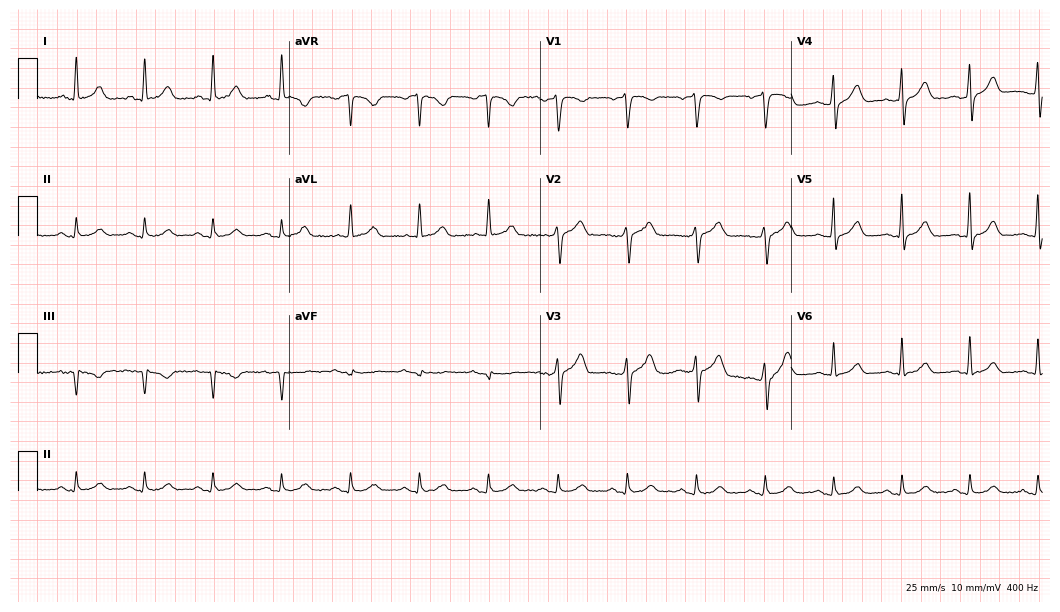
12-lead ECG (10.2-second recording at 400 Hz) from a 50-year-old man. Screened for six findings — first-degree AV block, right bundle branch block (RBBB), left bundle branch block (LBBB), sinus bradycardia, atrial fibrillation (AF), sinus tachycardia — none is recorded.